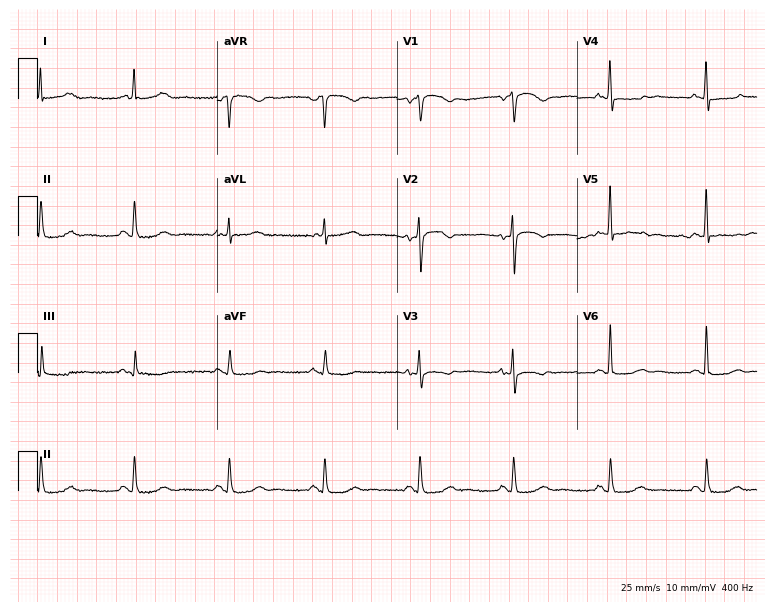
Resting 12-lead electrocardiogram (7.3-second recording at 400 Hz). Patient: a female, 60 years old. None of these six findings is recorded: first-degree AV block, right bundle branch block, left bundle branch block, sinus bradycardia, atrial fibrillation, sinus tachycardia.